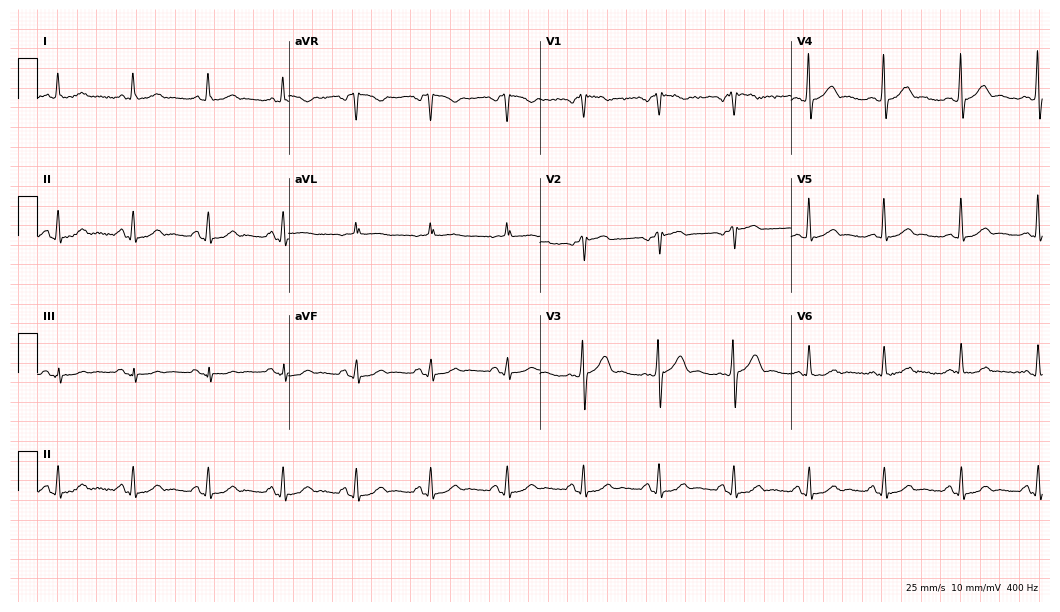
Standard 12-lead ECG recorded from a man, 44 years old (10.2-second recording at 400 Hz). None of these six findings is recorded: first-degree AV block, right bundle branch block, left bundle branch block, sinus bradycardia, atrial fibrillation, sinus tachycardia.